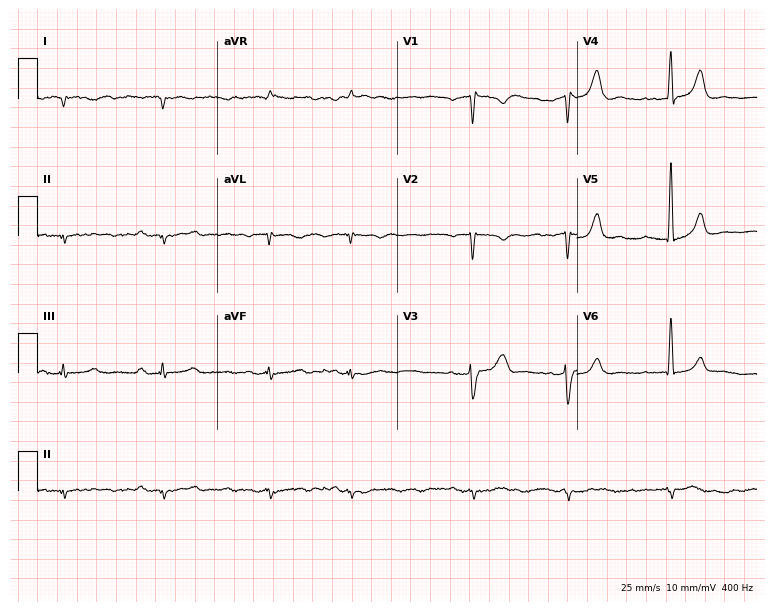
Electrocardiogram (7.3-second recording at 400 Hz), a male patient, 81 years old. Of the six screened findings (first-degree AV block, right bundle branch block, left bundle branch block, sinus bradycardia, atrial fibrillation, sinus tachycardia), none is recorded. Other findings, if any, are not listed.